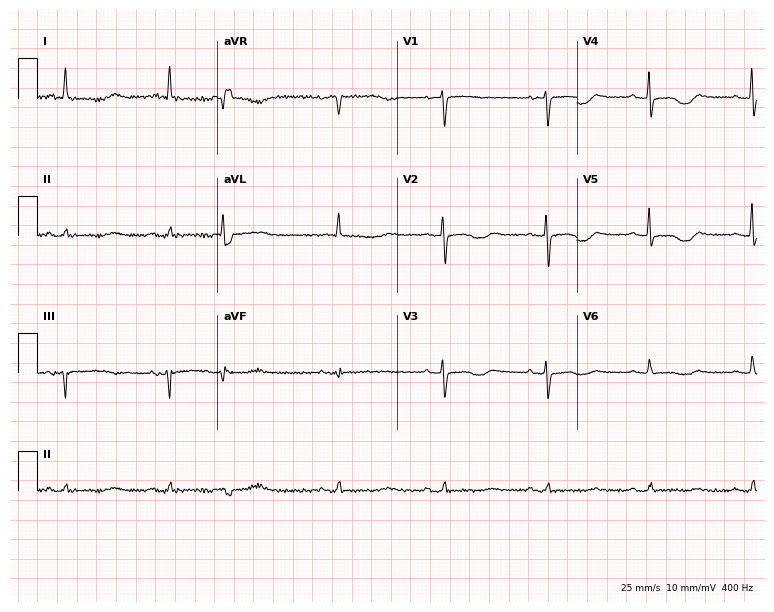
Resting 12-lead electrocardiogram (7.3-second recording at 400 Hz). Patient: a 73-year-old female. None of these six findings is recorded: first-degree AV block, right bundle branch block, left bundle branch block, sinus bradycardia, atrial fibrillation, sinus tachycardia. Other findings, if any, are not listed.